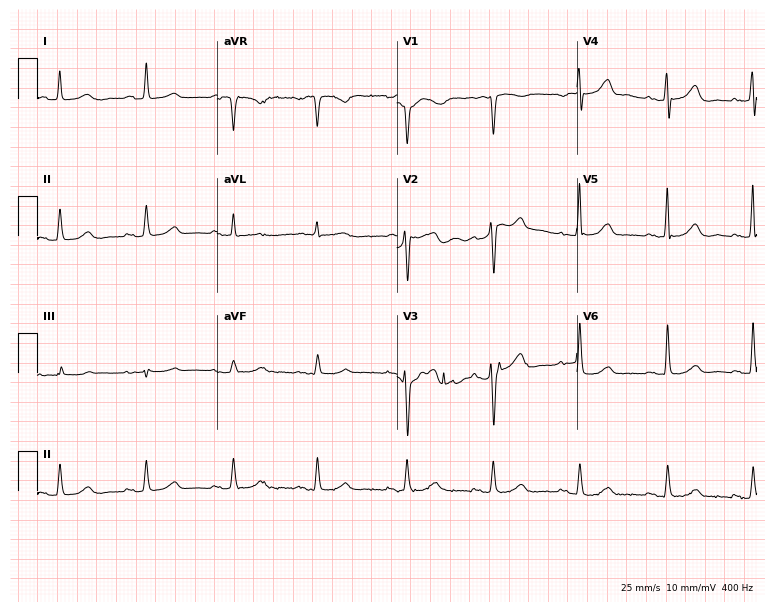
12-lead ECG from a 63-year-old female. Screened for six findings — first-degree AV block, right bundle branch block, left bundle branch block, sinus bradycardia, atrial fibrillation, sinus tachycardia — none is recorded. Findings outside these six are not listed.